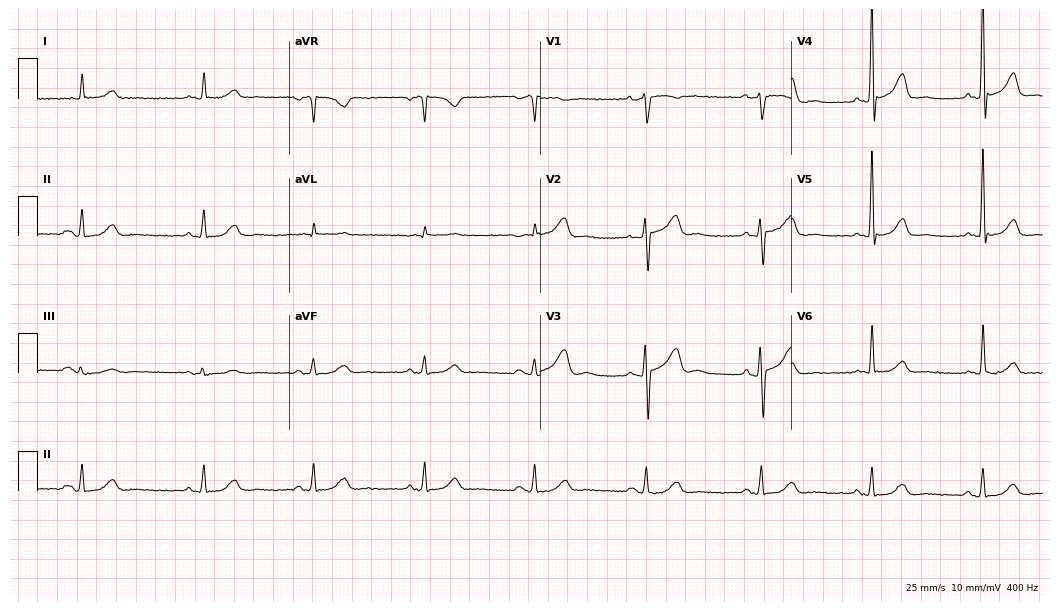
12-lead ECG from a 70-year-old male patient (10.2-second recording at 400 Hz). No first-degree AV block, right bundle branch block, left bundle branch block, sinus bradycardia, atrial fibrillation or sinus tachycardia recorded for this tracing.